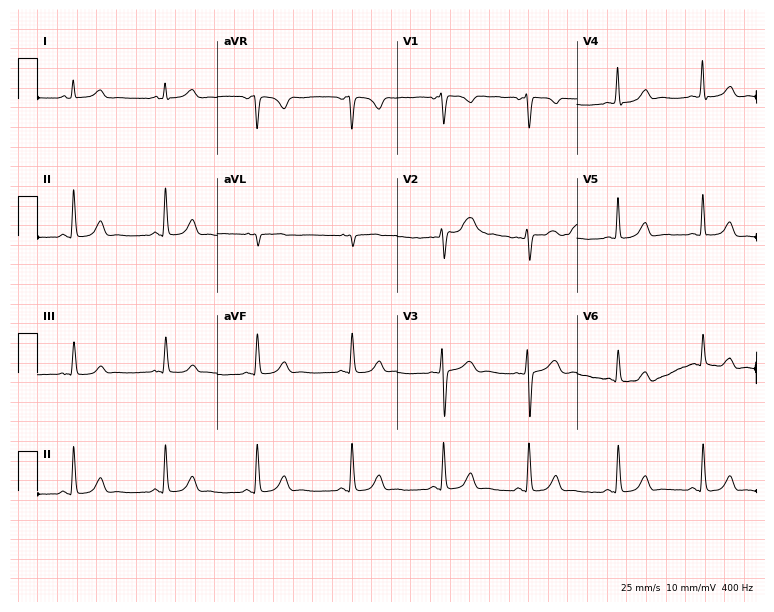
Electrocardiogram, a woman, 25 years old. Of the six screened findings (first-degree AV block, right bundle branch block (RBBB), left bundle branch block (LBBB), sinus bradycardia, atrial fibrillation (AF), sinus tachycardia), none is recorded. Findings outside these six are not listed.